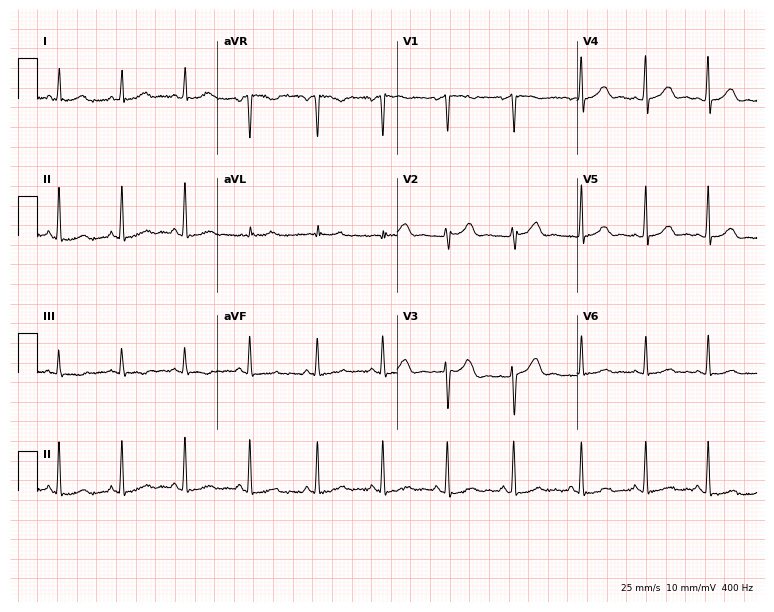
12-lead ECG from a 34-year-old female. Recorded interpretation: within normal limits.